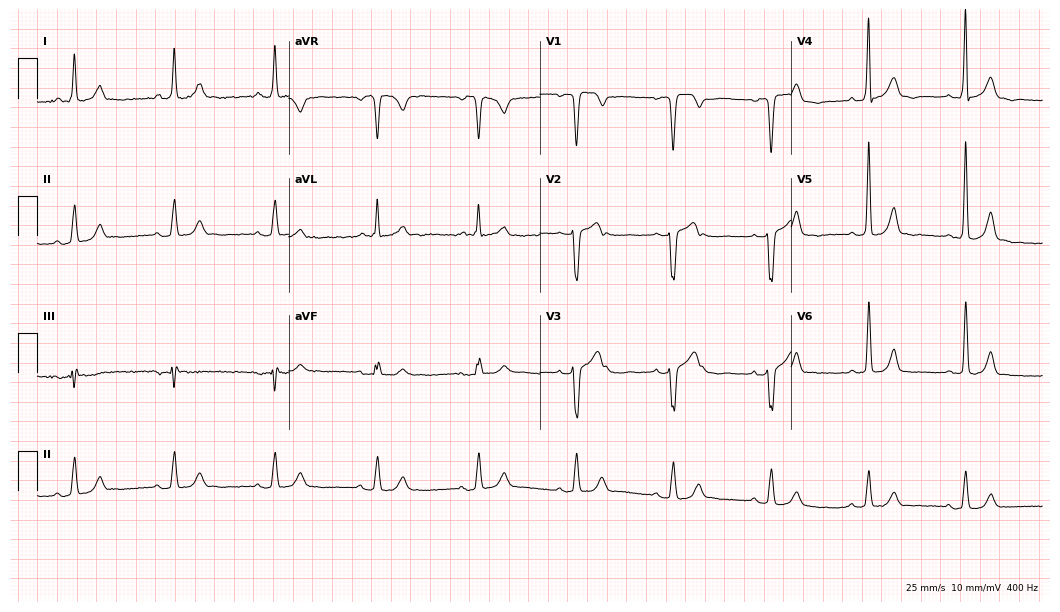
Resting 12-lead electrocardiogram (10.2-second recording at 400 Hz). Patient: a 57-year-old male. Read as a normal ECG.